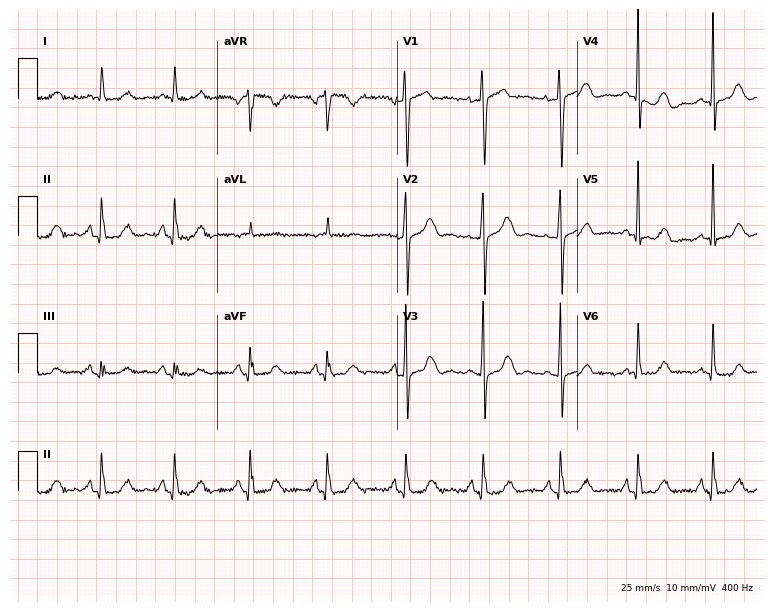
12-lead ECG from a woman, 55 years old. No first-degree AV block, right bundle branch block (RBBB), left bundle branch block (LBBB), sinus bradycardia, atrial fibrillation (AF) or sinus tachycardia recorded for this tracing.